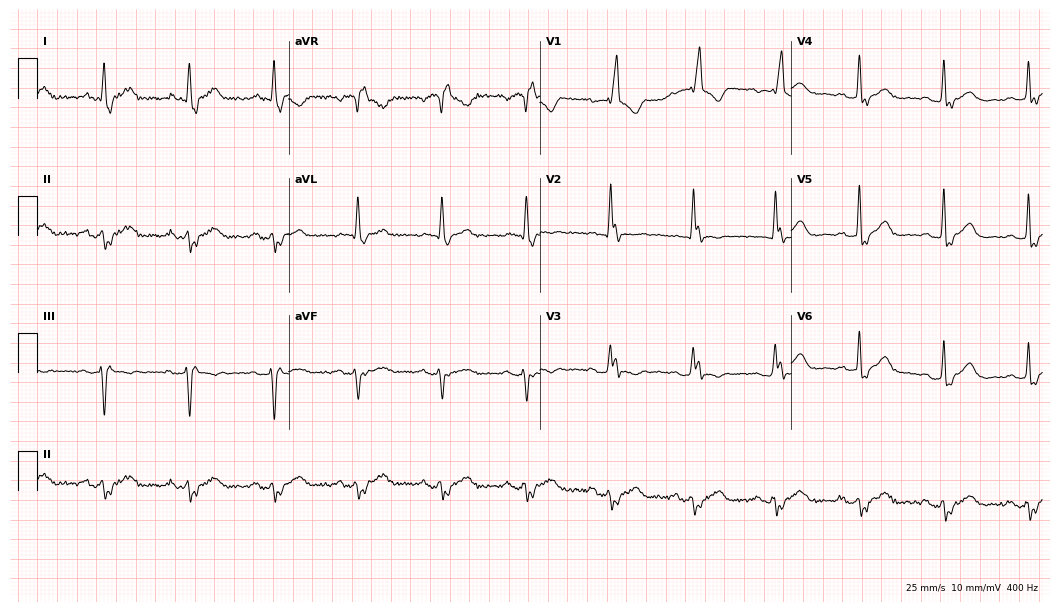
12-lead ECG (10.2-second recording at 400 Hz) from a female, 83 years old. Findings include right bundle branch block (RBBB).